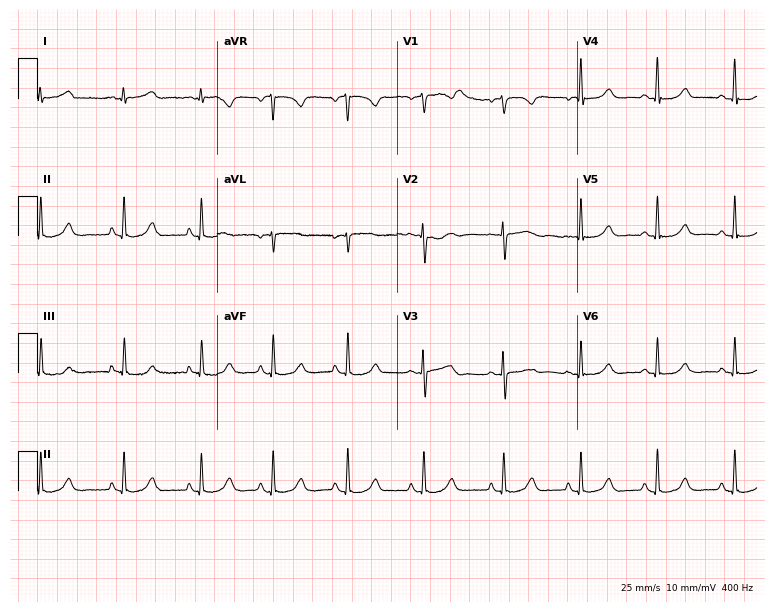
12-lead ECG from a 28-year-old female patient. Labelled as a normal ECG.